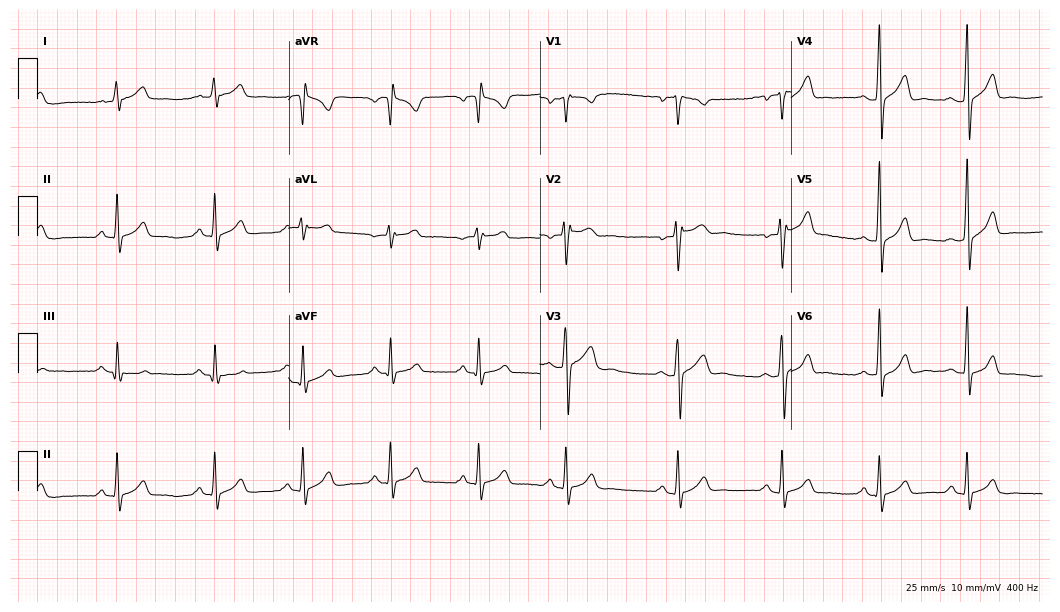
Standard 12-lead ECG recorded from a male patient, 19 years old (10.2-second recording at 400 Hz). Read as a normal ECG.